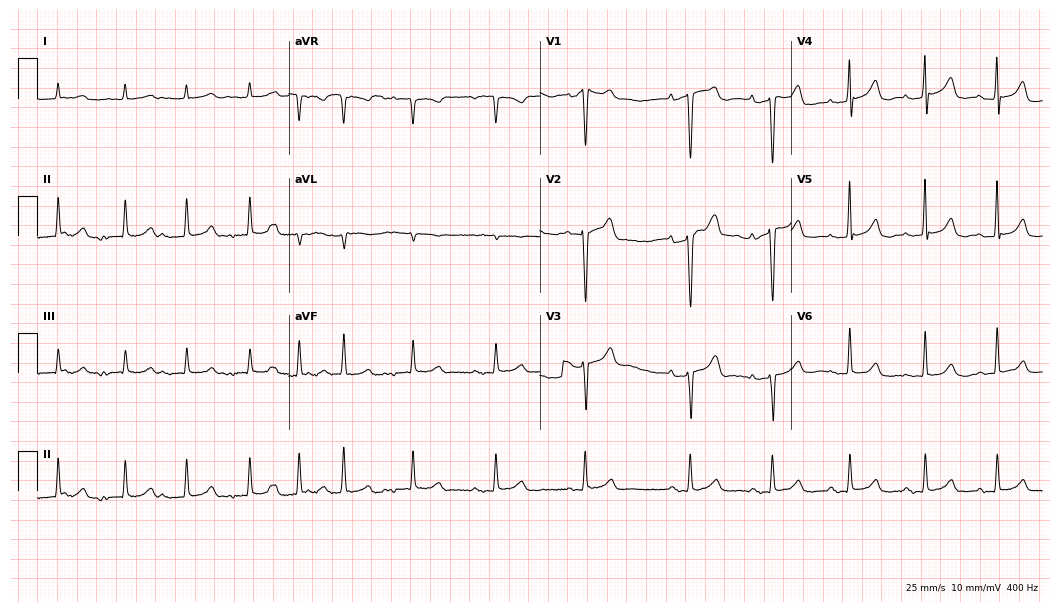
Standard 12-lead ECG recorded from a female, 79 years old (10.2-second recording at 400 Hz). The tracing shows first-degree AV block.